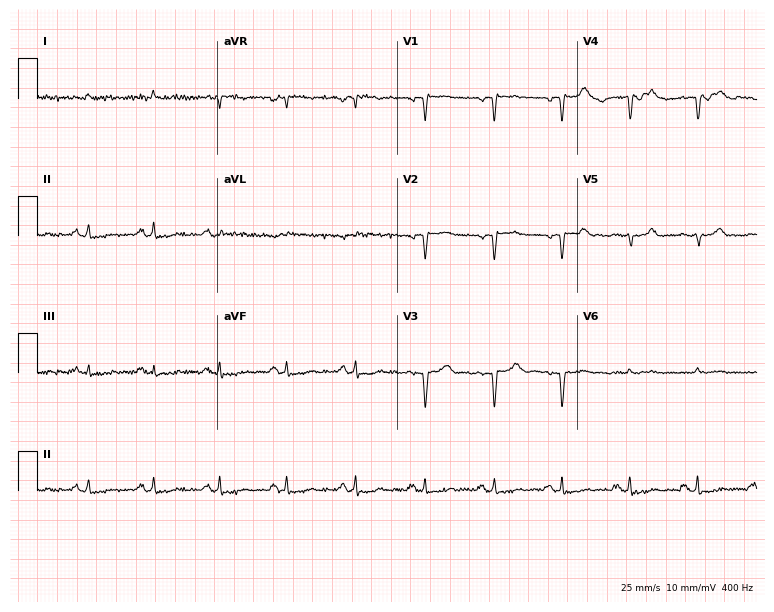
Standard 12-lead ECG recorded from a man, 83 years old. None of these six findings is recorded: first-degree AV block, right bundle branch block, left bundle branch block, sinus bradycardia, atrial fibrillation, sinus tachycardia. Findings outside these six are not listed.